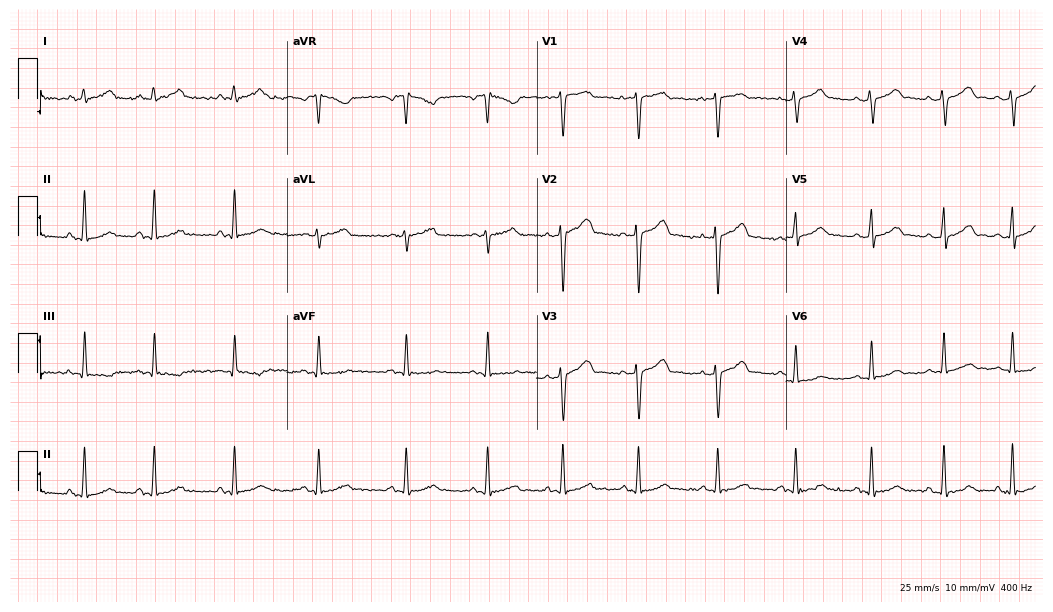
Electrocardiogram, a 29-year-old female. Of the six screened findings (first-degree AV block, right bundle branch block (RBBB), left bundle branch block (LBBB), sinus bradycardia, atrial fibrillation (AF), sinus tachycardia), none is recorded. Findings outside these six are not listed.